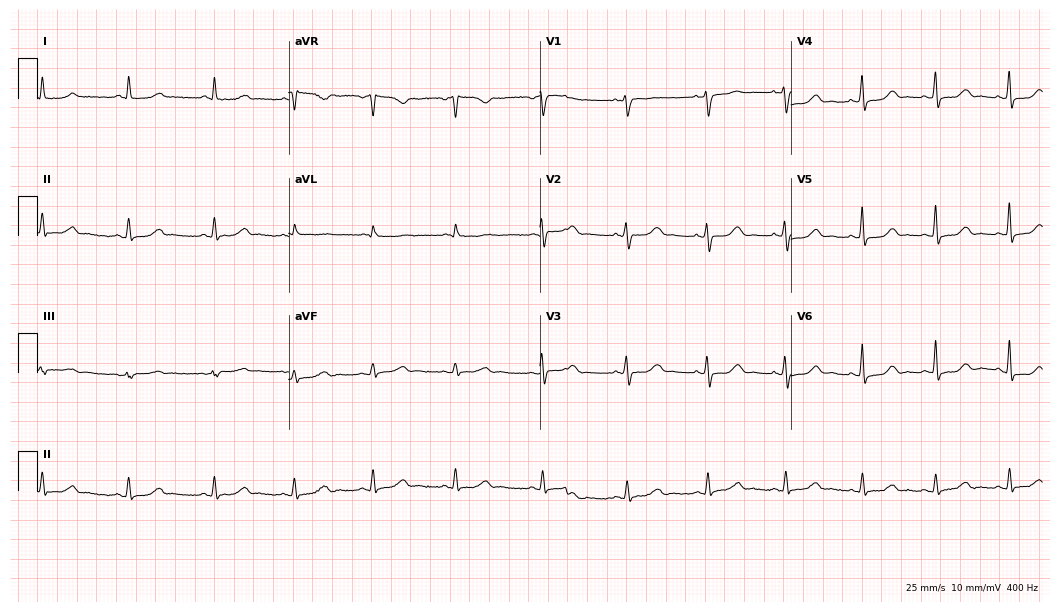
12-lead ECG (10.2-second recording at 400 Hz) from a 51-year-old woman. Labelled as a normal ECG.